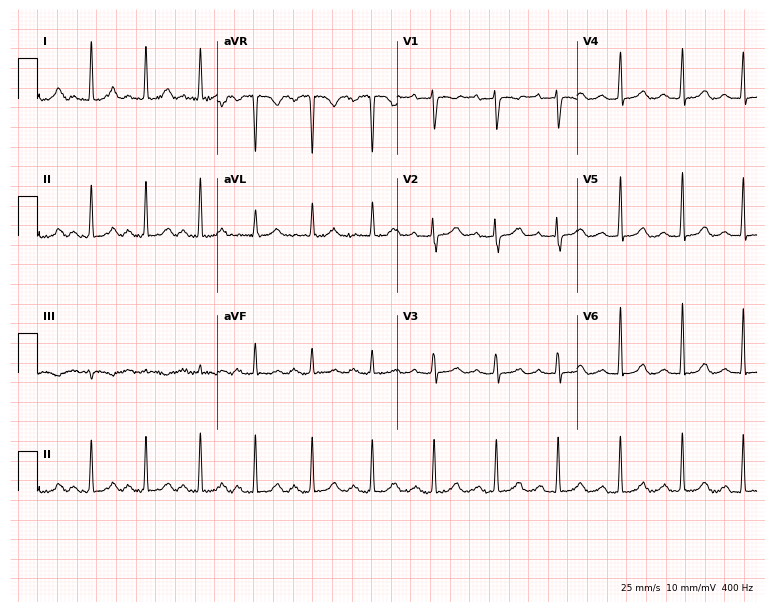
12-lead ECG (7.3-second recording at 400 Hz) from a woman, 39 years old. Labelled as a normal ECG.